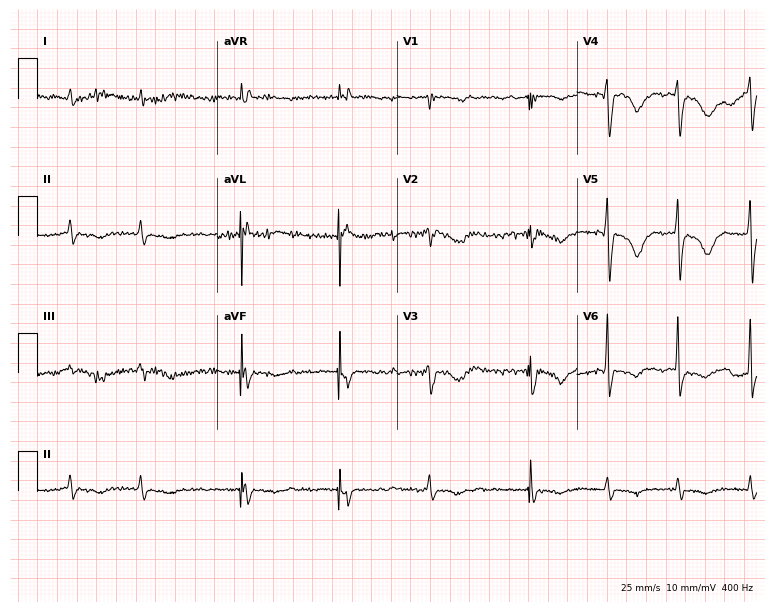
Resting 12-lead electrocardiogram. Patient: a 69-year-old female. None of these six findings is recorded: first-degree AV block, right bundle branch block, left bundle branch block, sinus bradycardia, atrial fibrillation, sinus tachycardia.